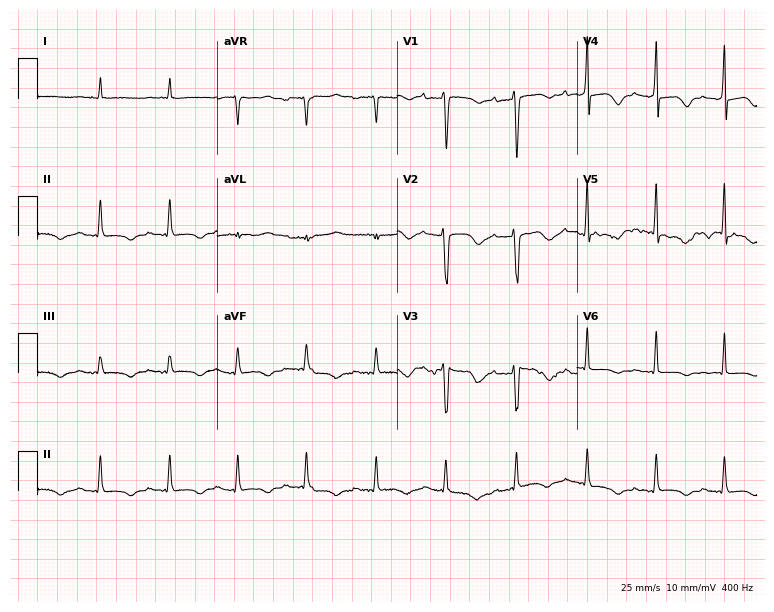
12-lead ECG (7.3-second recording at 400 Hz) from a female patient, 41 years old. Screened for six findings — first-degree AV block, right bundle branch block (RBBB), left bundle branch block (LBBB), sinus bradycardia, atrial fibrillation (AF), sinus tachycardia — none is recorded. Only these six findings were labelled.